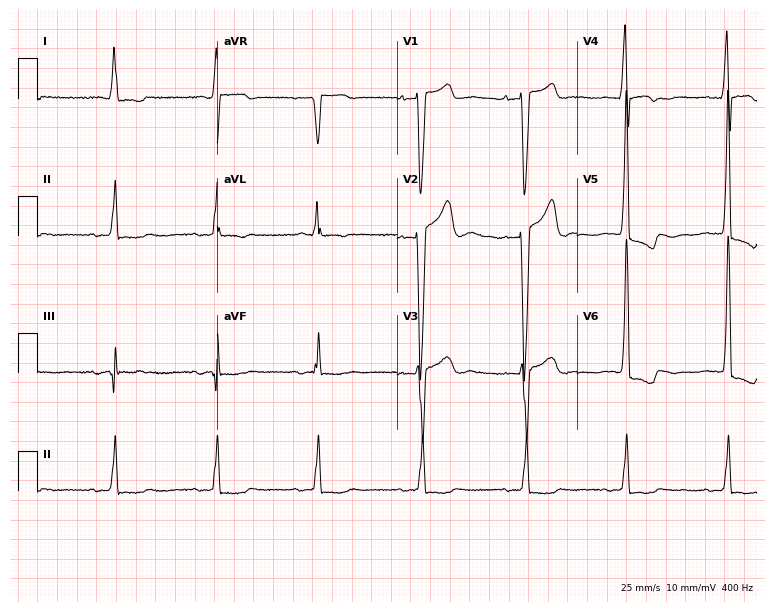
Resting 12-lead electrocardiogram (7.3-second recording at 400 Hz). Patient: a male, 75 years old. None of these six findings is recorded: first-degree AV block, right bundle branch block, left bundle branch block, sinus bradycardia, atrial fibrillation, sinus tachycardia.